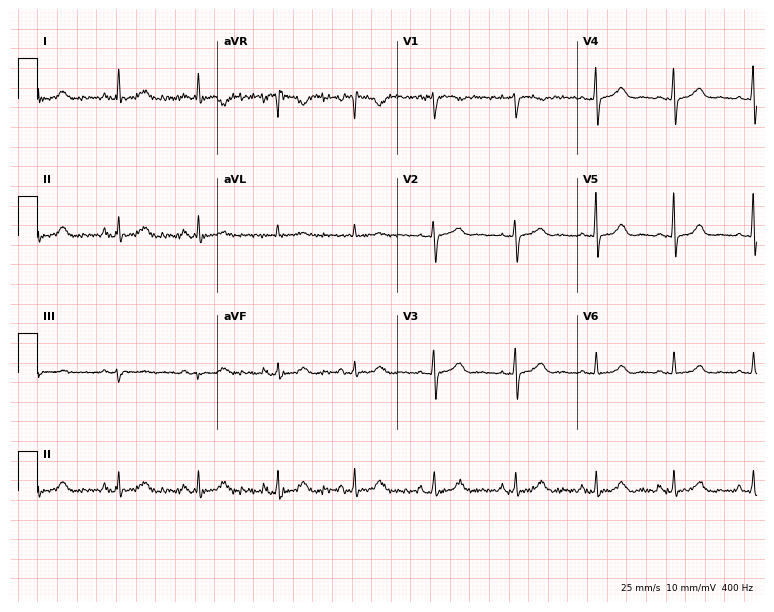
Resting 12-lead electrocardiogram (7.3-second recording at 400 Hz). Patient: a female, 62 years old. Read as a normal ECG.